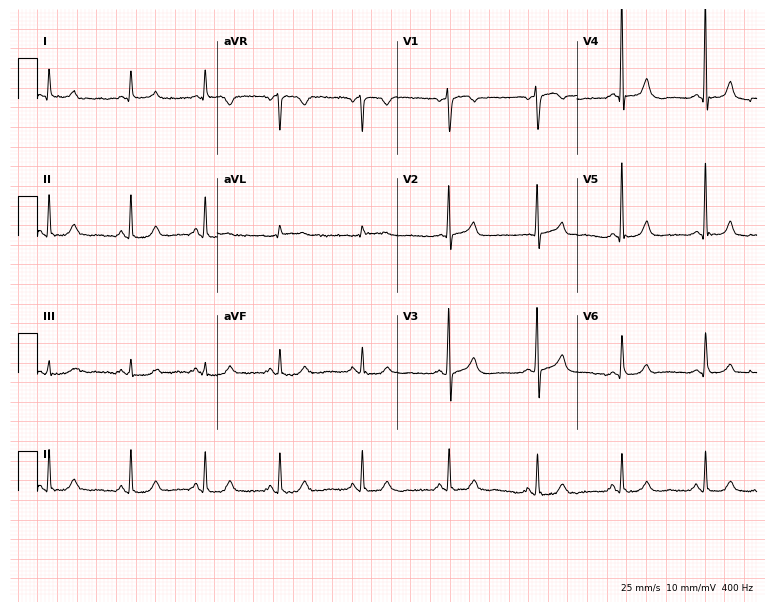
12-lead ECG from a 62-year-old female patient (7.3-second recording at 400 Hz). Recorded interpretation: within normal limits.